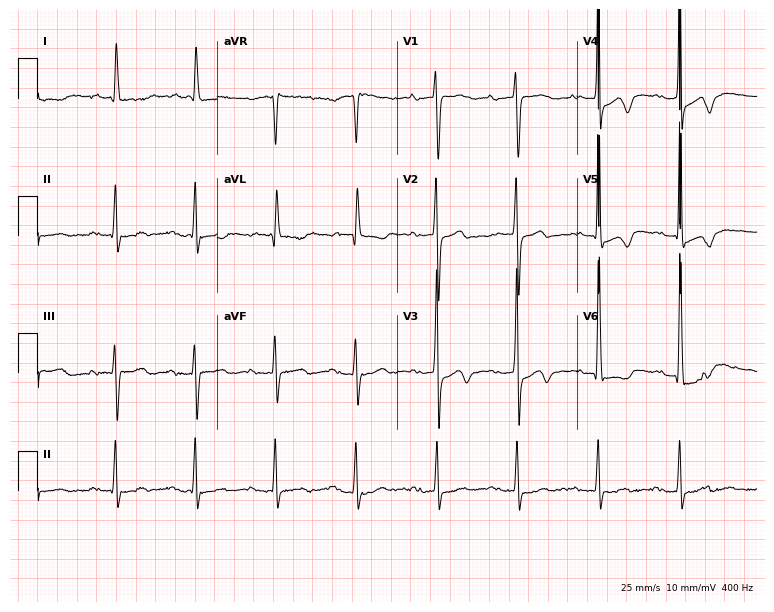
Standard 12-lead ECG recorded from a 78-year-old female patient. None of these six findings is recorded: first-degree AV block, right bundle branch block, left bundle branch block, sinus bradycardia, atrial fibrillation, sinus tachycardia.